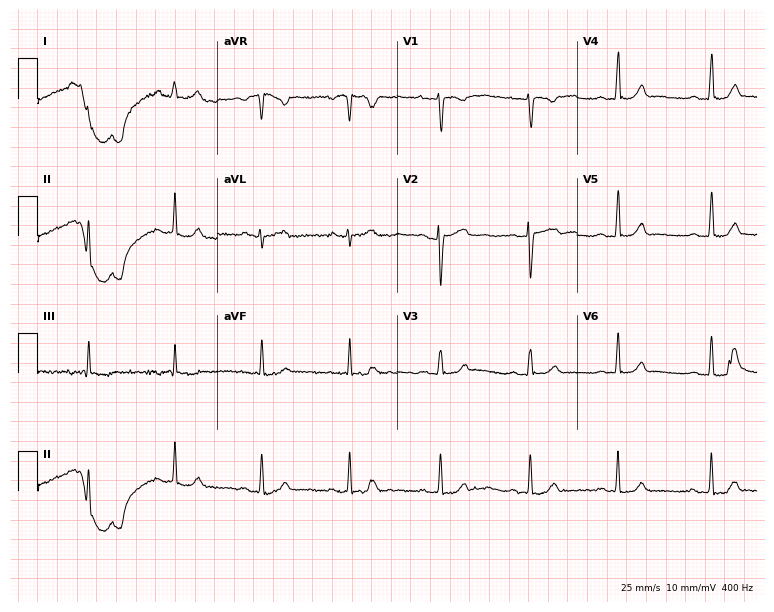
Resting 12-lead electrocardiogram. Patient: a female, 21 years old. Read as a normal ECG.